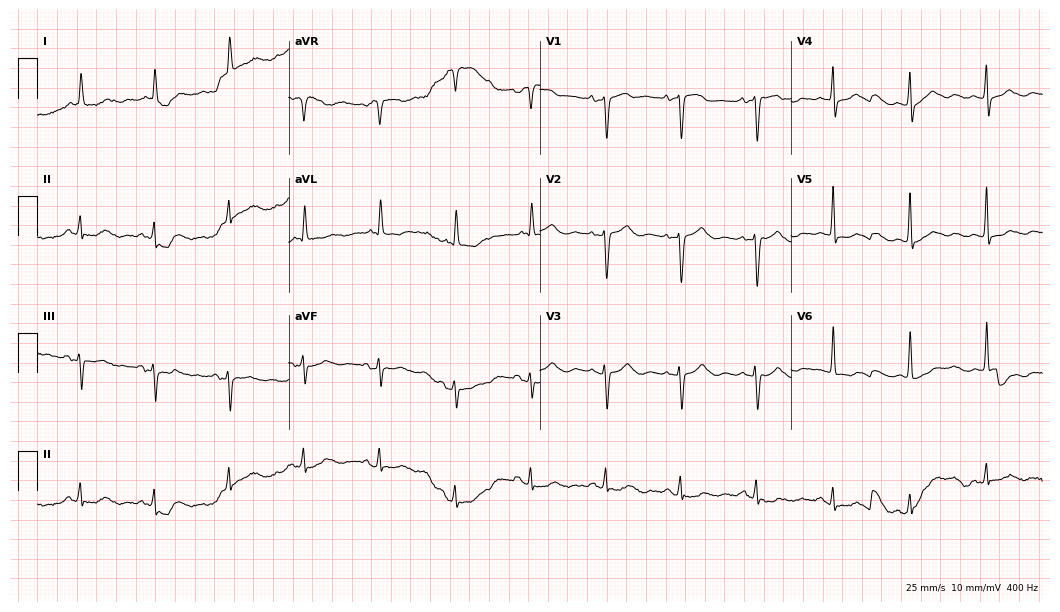
Resting 12-lead electrocardiogram (10.2-second recording at 400 Hz). Patient: a female, 82 years old. None of these six findings is recorded: first-degree AV block, right bundle branch block (RBBB), left bundle branch block (LBBB), sinus bradycardia, atrial fibrillation (AF), sinus tachycardia.